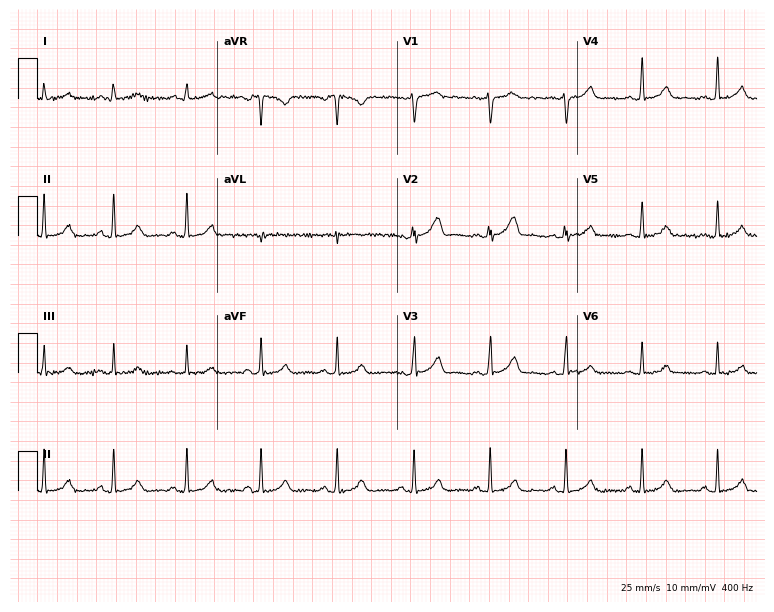
ECG — a 27-year-old woman. Screened for six findings — first-degree AV block, right bundle branch block (RBBB), left bundle branch block (LBBB), sinus bradycardia, atrial fibrillation (AF), sinus tachycardia — none is recorded.